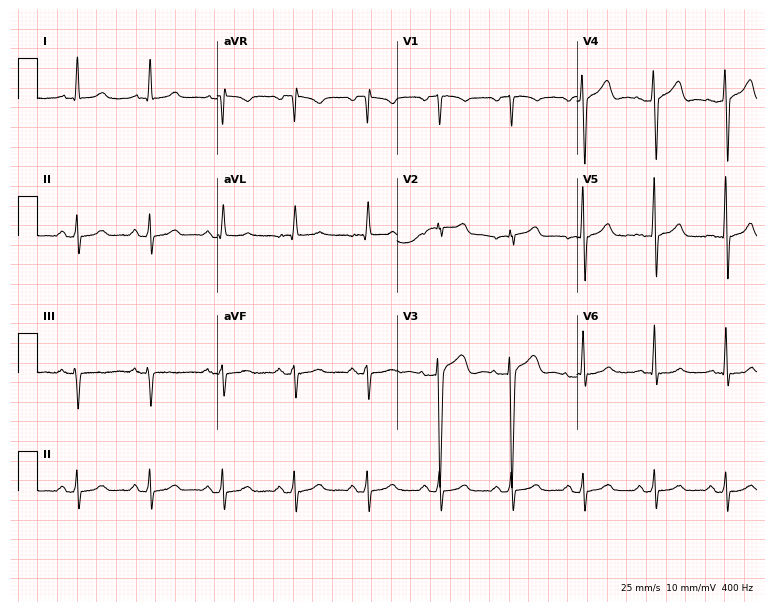
Electrocardiogram, a 56-year-old female patient. Of the six screened findings (first-degree AV block, right bundle branch block (RBBB), left bundle branch block (LBBB), sinus bradycardia, atrial fibrillation (AF), sinus tachycardia), none is recorded. Other findings, if any, are not listed.